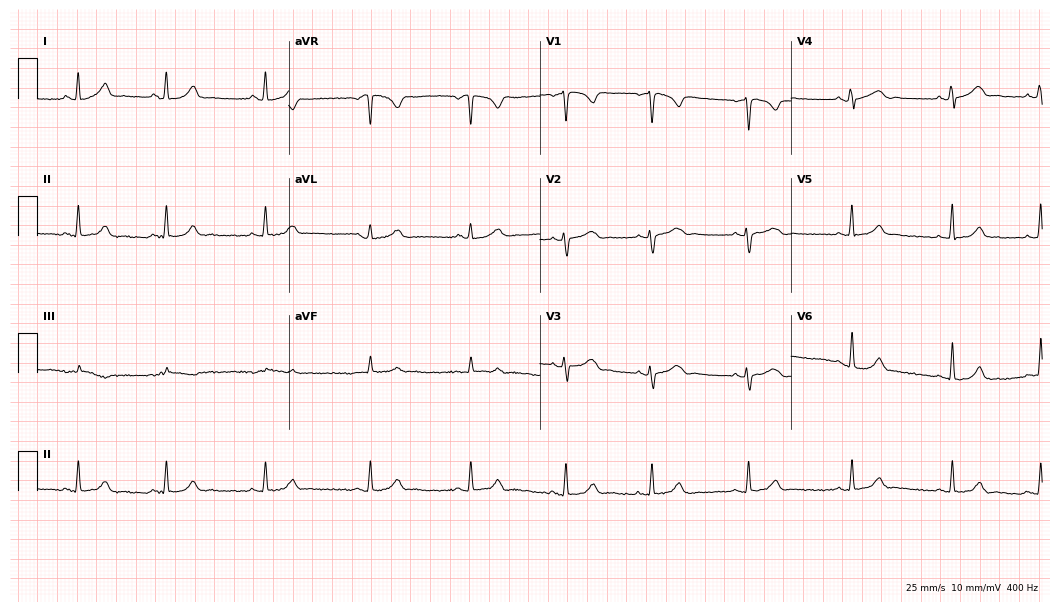
12-lead ECG from a 20-year-old female patient (10.2-second recording at 400 Hz). Recorded interpretation: within normal limits.